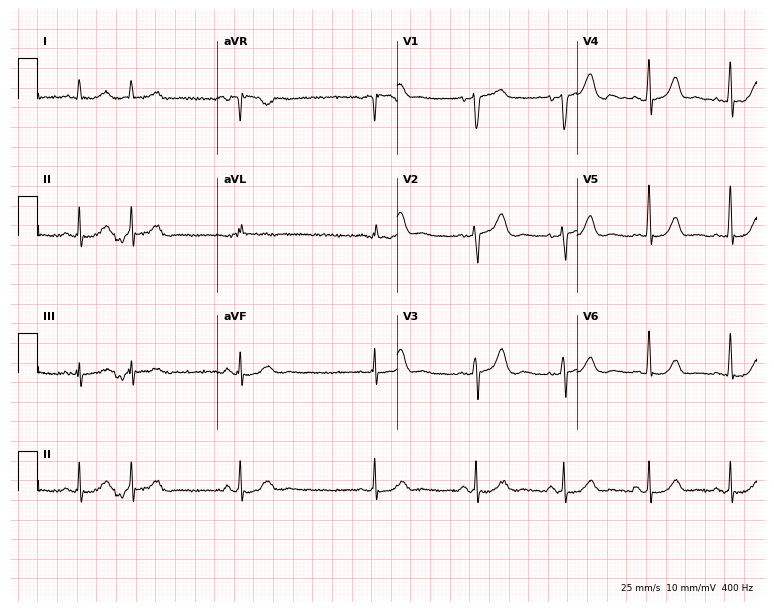
12-lead ECG from a man, 82 years old (7.3-second recording at 400 Hz). No first-degree AV block, right bundle branch block, left bundle branch block, sinus bradycardia, atrial fibrillation or sinus tachycardia recorded for this tracing.